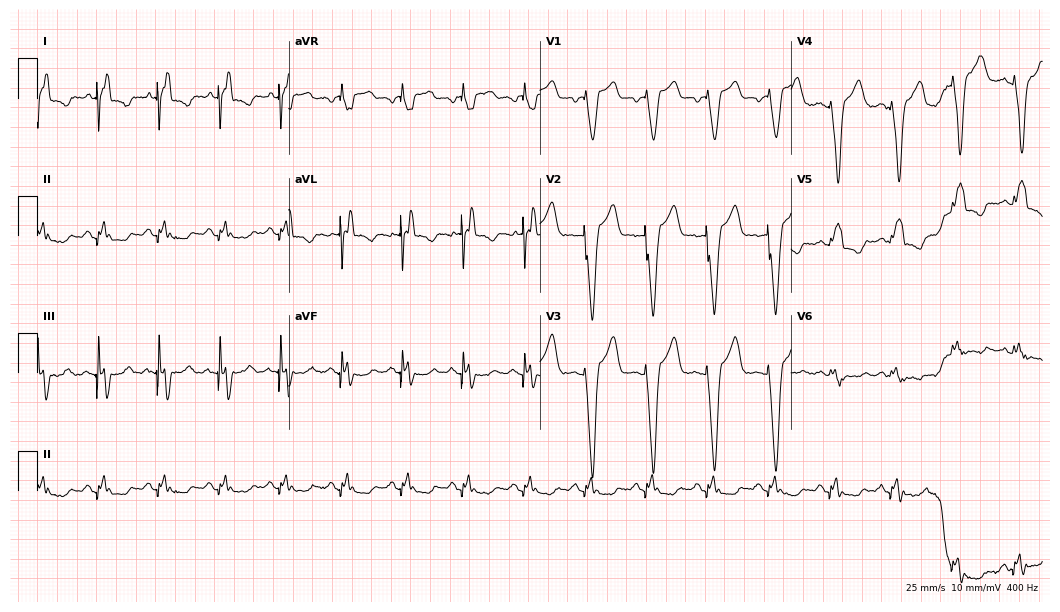
Electrocardiogram, a man, 22 years old. Of the six screened findings (first-degree AV block, right bundle branch block, left bundle branch block, sinus bradycardia, atrial fibrillation, sinus tachycardia), none is recorded.